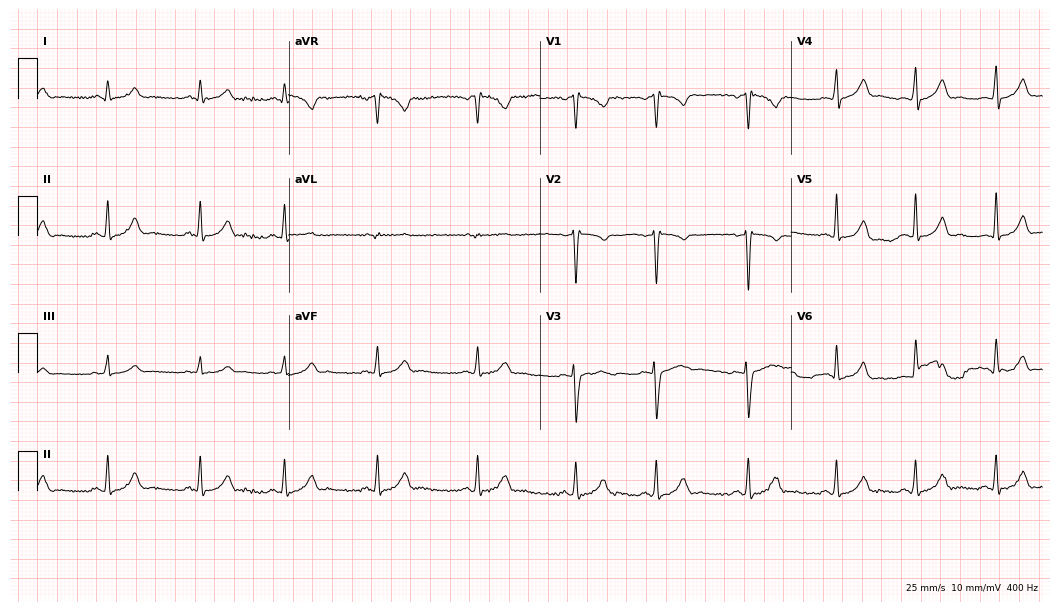
12-lead ECG from a female, 26 years old. No first-degree AV block, right bundle branch block (RBBB), left bundle branch block (LBBB), sinus bradycardia, atrial fibrillation (AF) or sinus tachycardia recorded for this tracing. Findings outside these six are not listed.